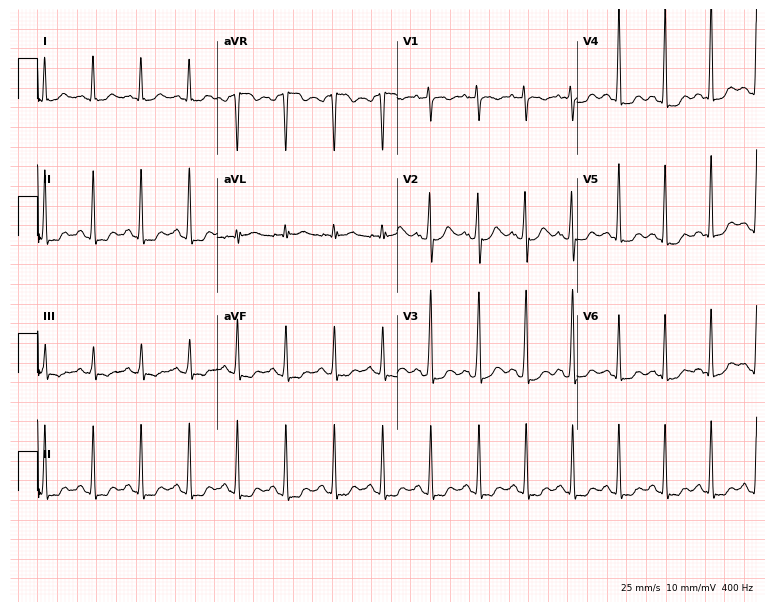
12-lead ECG from a female patient, 20 years old. Findings include sinus tachycardia (a sinus rate of 100 beats per minute or more).